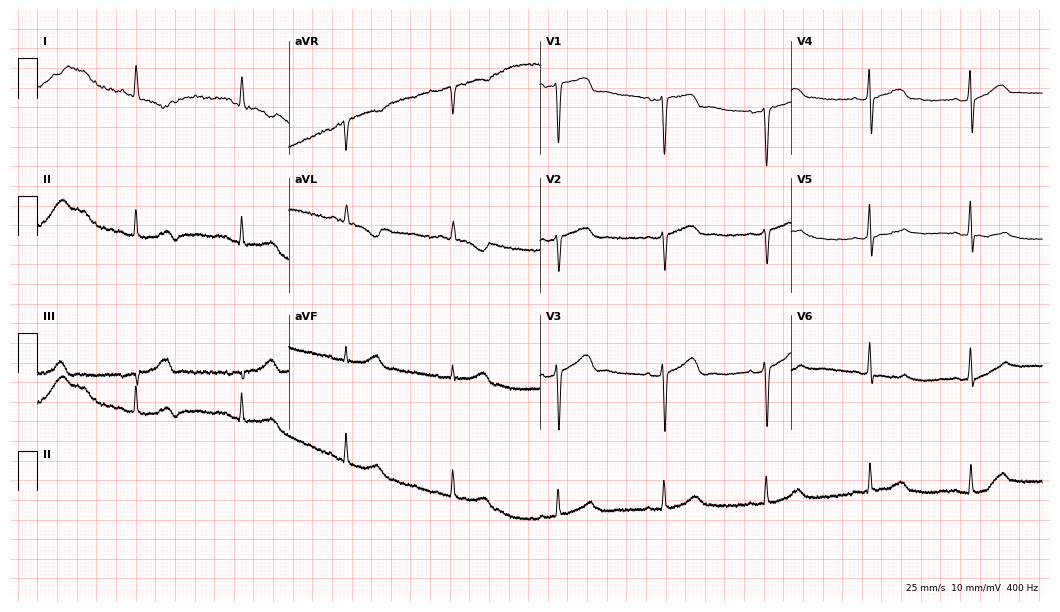
Standard 12-lead ECG recorded from a woman, 66 years old (10.2-second recording at 400 Hz). None of these six findings is recorded: first-degree AV block, right bundle branch block, left bundle branch block, sinus bradycardia, atrial fibrillation, sinus tachycardia. Other findings, if any, are not listed.